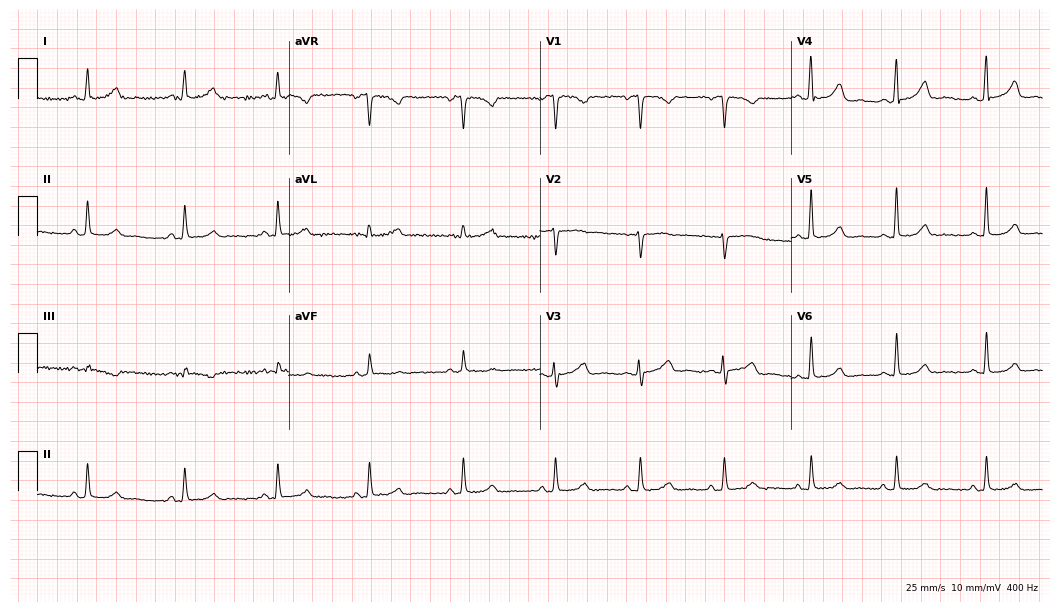
12-lead ECG (10.2-second recording at 400 Hz) from a woman, 41 years old. Labelled as a normal ECG.